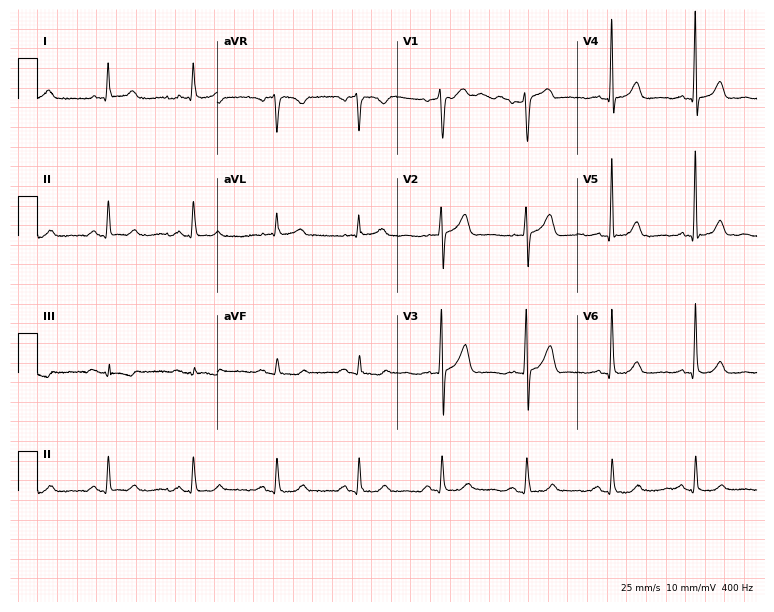
Standard 12-lead ECG recorded from a man, 63 years old (7.3-second recording at 400 Hz). Read as a normal ECG.